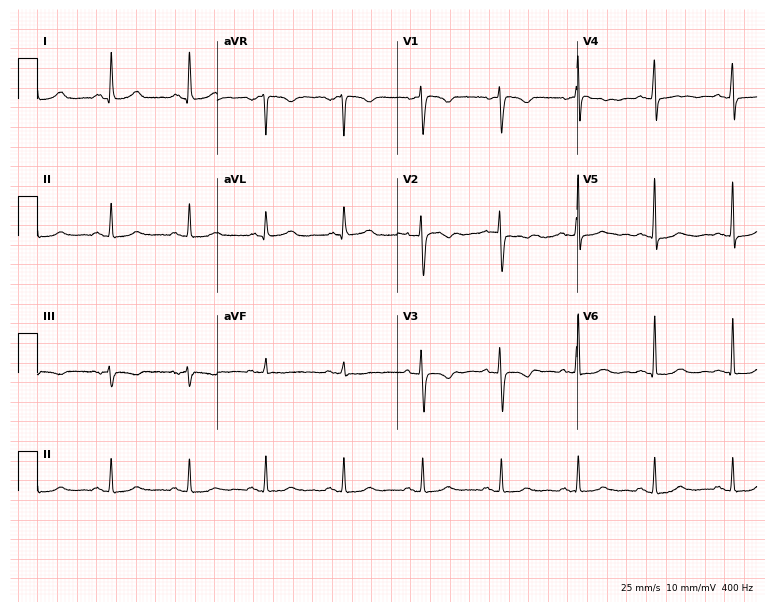
ECG (7.3-second recording at 400 Hz) — a 54-year-old female. Screened for six findings — first-degree AV block, right bundle branch block (RBBB), left bundle branch block (LBBB), sinus bradycardia, atrial fibrillation (AF), sinus tachycardia — none is recorded. Findings outside these six are not listed.